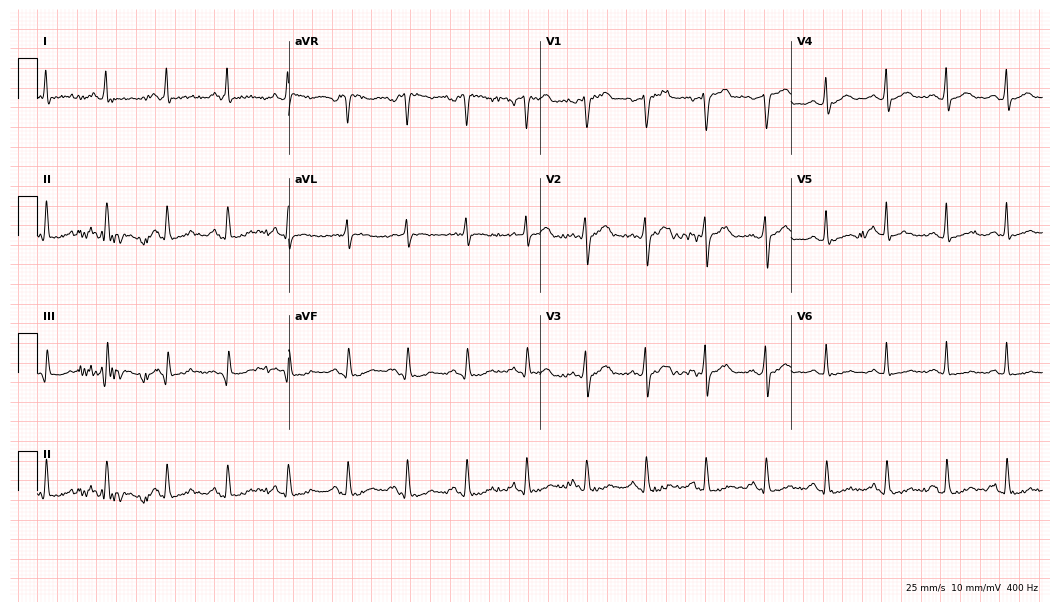
12-lead ECG (10.2-second recording at 400 Hz) from a 42-year-old man. Screened for six findings — first-degree AV block, right bundle branch block, left bundle branch block, sinus bradycardia, atrial fibrillation, sinus tachycardia — none is recorded. Findings outside these six are not listed.